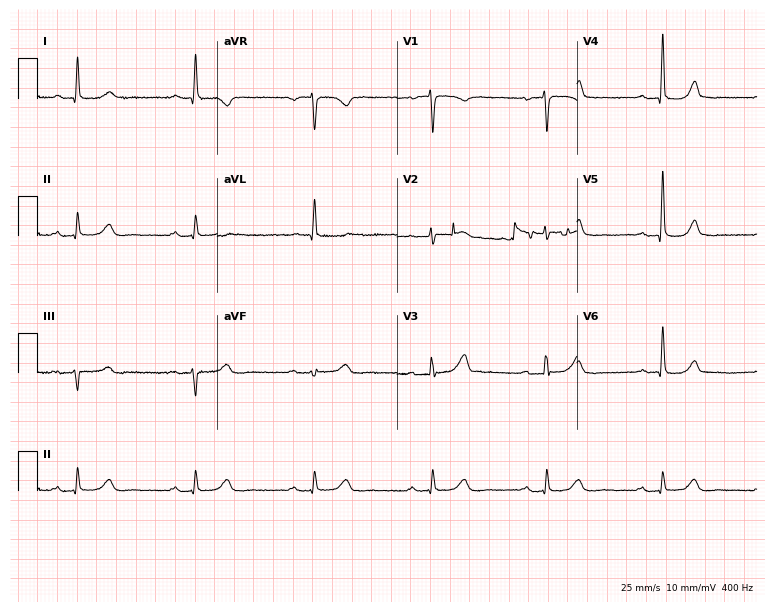
Electrocardiogram, a 70-year-old woman. Interpretation includes first-degree AV block, sinus bradycardia (a sinus rate of 50 beats per minute or less).